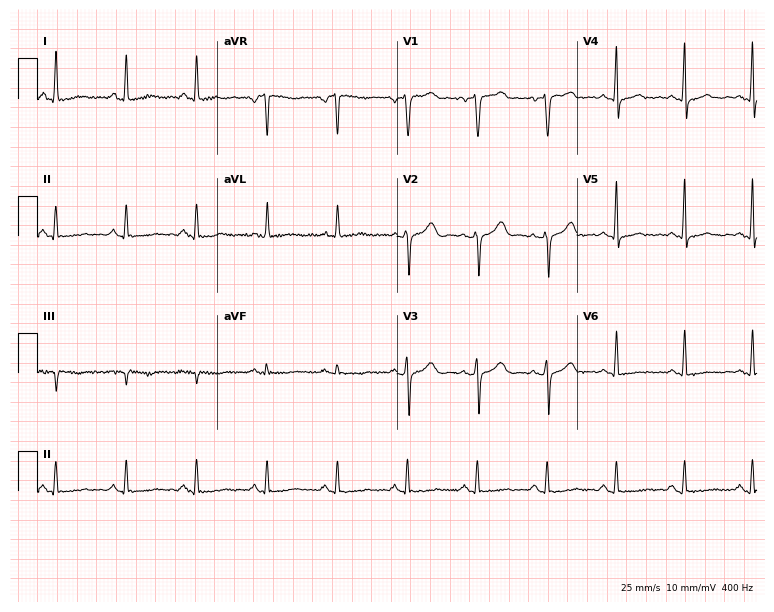
ECG — a 48-year-old woman. Screened for six findings — first-degree AV block, right bundle branch block, left bundle branch block, sinus bradycardia, atrial fibrillation, sinus tachycardia — none is recorded. Other findings, if any, are not listed.